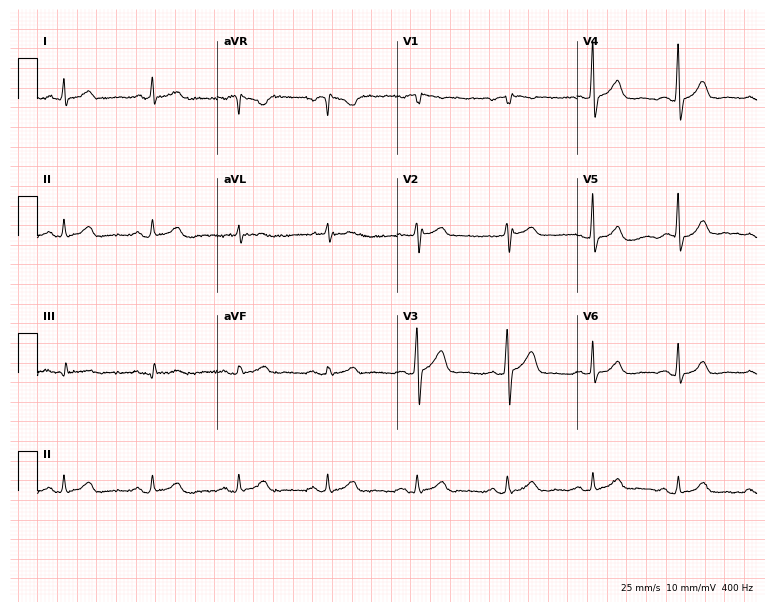
Standard 12-lead ECG recorded from a 60-year-old male. Read as a normal ECG.